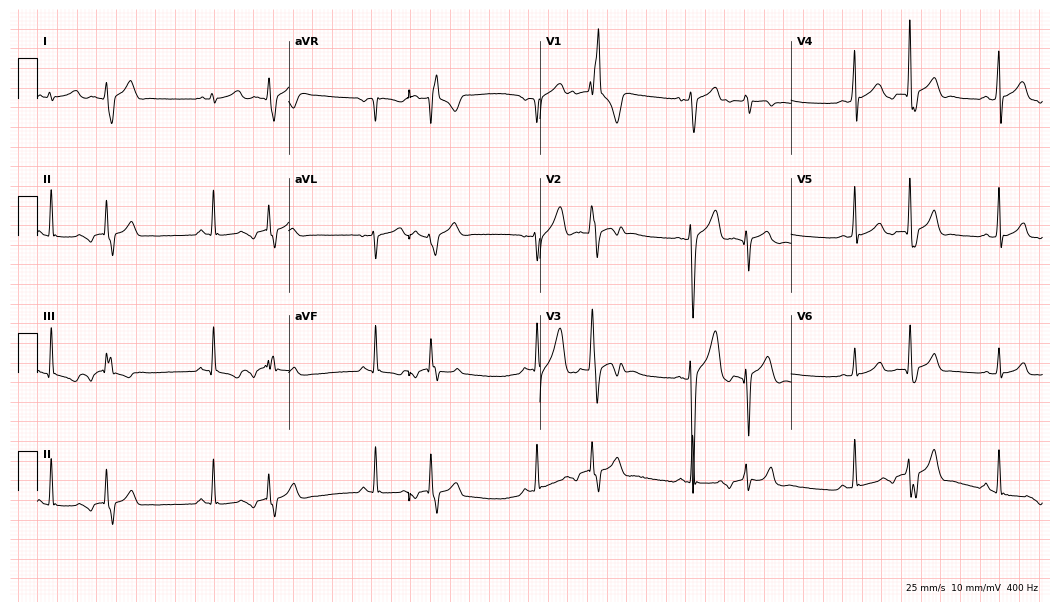
ECG — a 17-year-old male patient. Screened for six findings — first-degree AV block, right bundle branch block, left bundle branch block, sinus bradycardia, atrial fibrillation, sinus tachycardia — none is recorded.